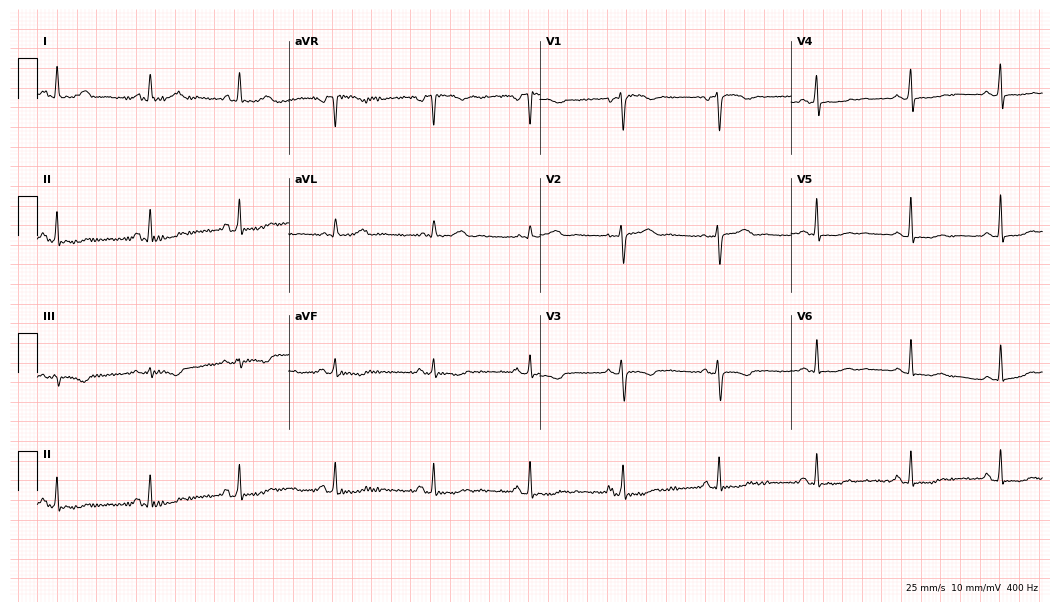
12-lead ECG from a woman, 47 years old (10.2-second recording at 400 Hz). No first-degree AV block, right bundle branch block (RBBB), left bundle branch block (LBBB), sinus bradycardia, atrial fibrillation (AF) or sinus tachycardia recorded for this tracing. Only these six findings were labelled.